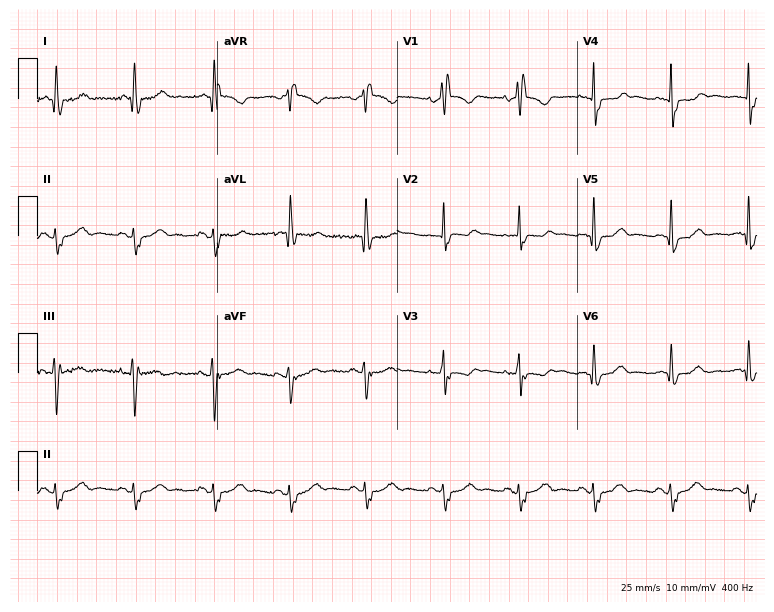
12-lead ECG (7.3-second recording at 400 Hz) from a 69-year-old woman. Findings include right bundle branch block.